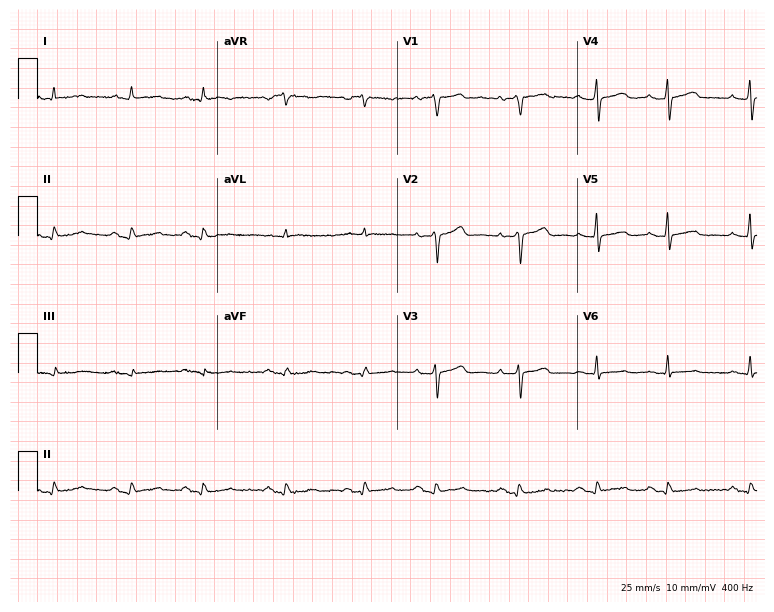
Standard 12-lead ECG recorded from a 57-year-old male (7.3-second recording at 400 Hz). None of these six findings is recorded: first-degree AV block, right bundle branch block, left bundle branch block, sinus bradycardia, atrial fibrillation, sinus tachycardia.